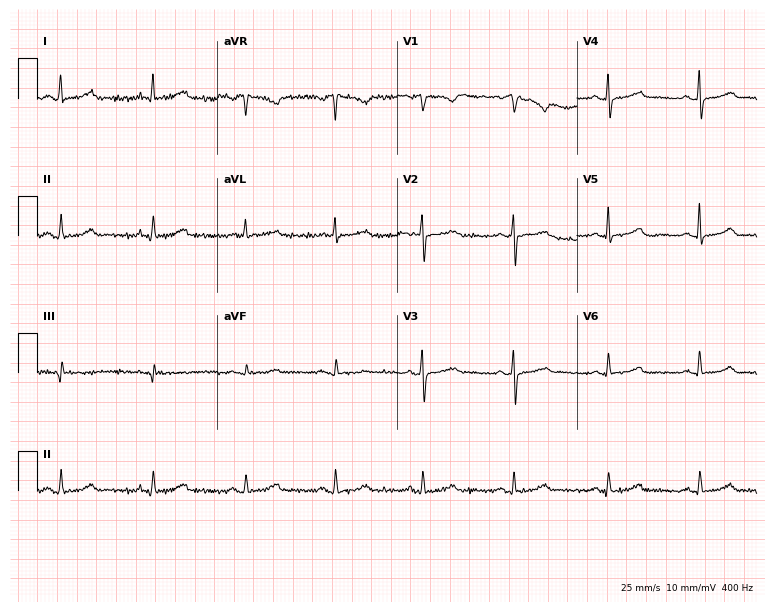
12-lead ECG from a 46-year-old female patient (7.3-second recording at 400 Hz). No first-degree AV block, right bundle branch block, left bundle branch block, sinus bradycardia, atrial fibrillation or sinus tachycardia recorded for this tracing. Only these six findings were labelled.